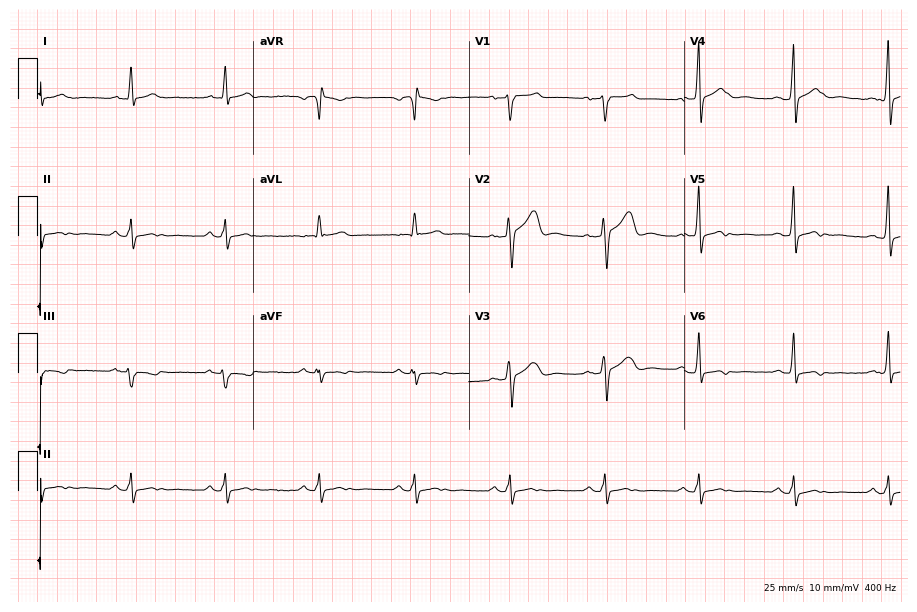
12-lead ECG from a male patient, 56 years old. Labelled as a normal ECG.